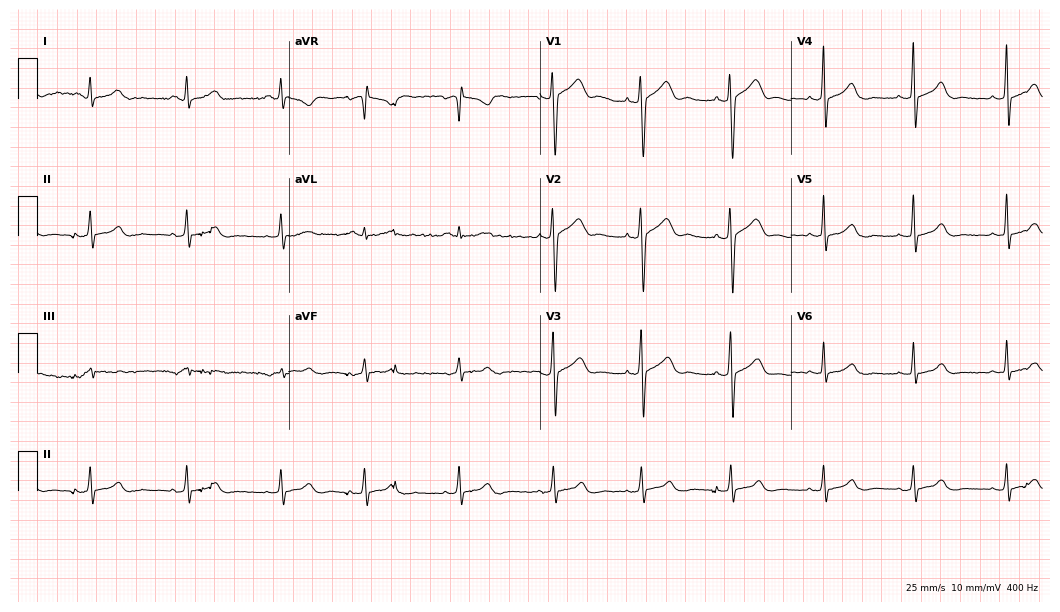
Standard 12-lead ECG recorded from a 40-year-old female patient. Read as a normal ECG.